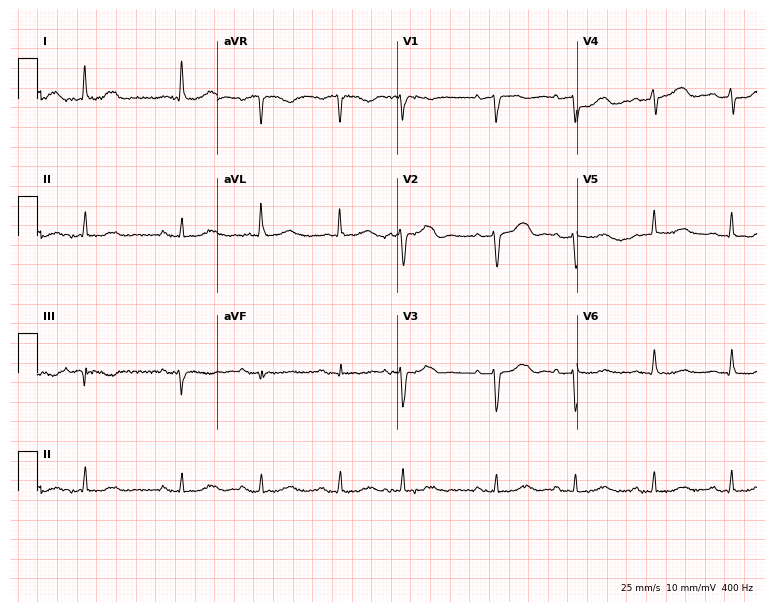
Standard 12-lead ECG recorded from a 77-year-old female. None of these six findings is recorded: first-degree AV block, right bundle branch block, left bundle branch block, sinus bradycardia, atrial fibrillation, sinus tachycardia. Findings outside these six are not listed.